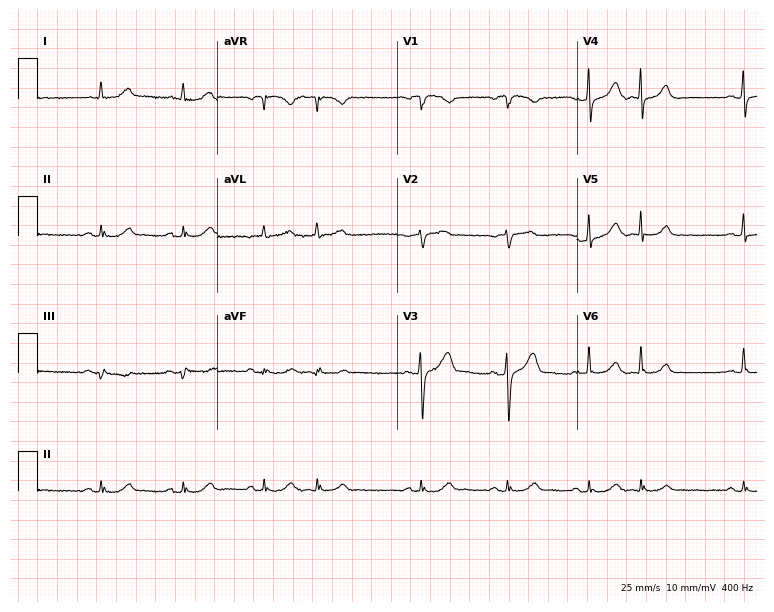
ECG — an 80-year-old male patient. Screened for six findings — first-degree AV block, right bundle branch block, left bundle branch block, sinus bradycardia, atrial fibrillation, sinus tachycardia — none is recorded.